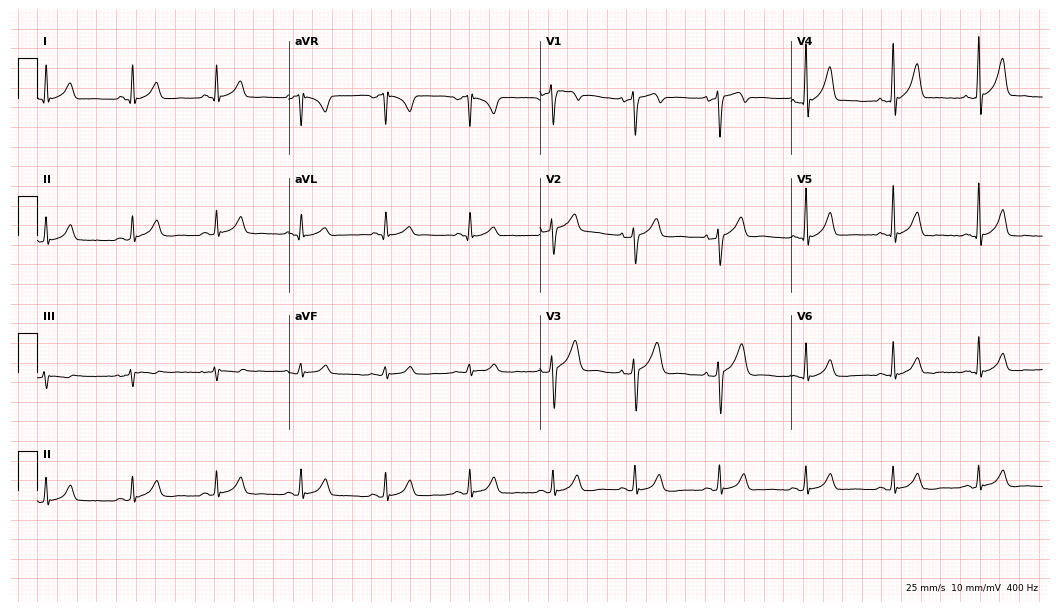
Electrocardiogram (10.2-second recording at 400 Hz), a 45-year-old man. Overall reading on record: normal ECG.